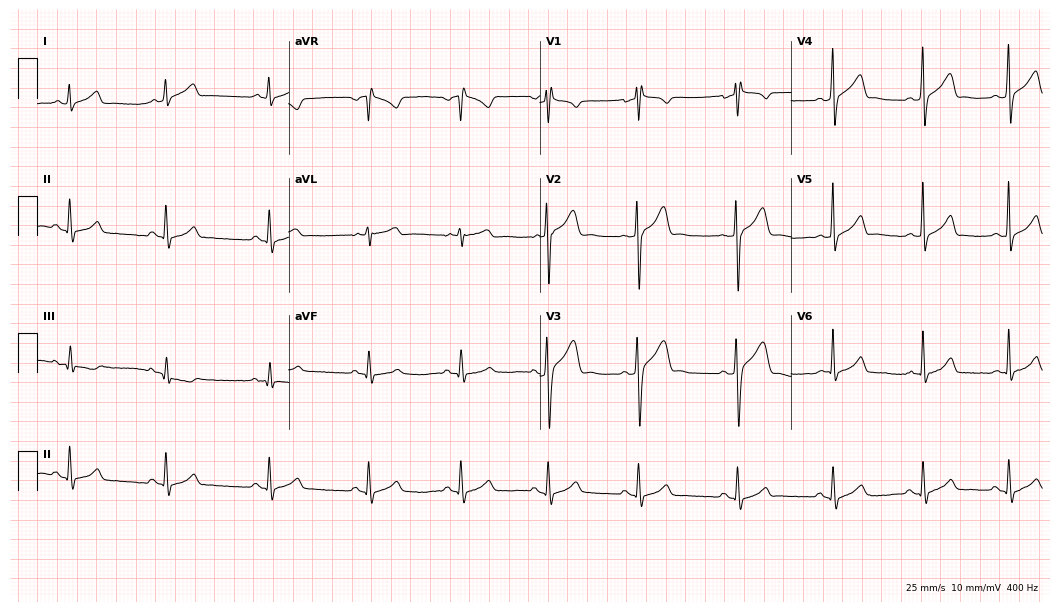
Resting 12-lead electrocardiogram. Patient: a male, 30 years old. Read as a normal ECG.